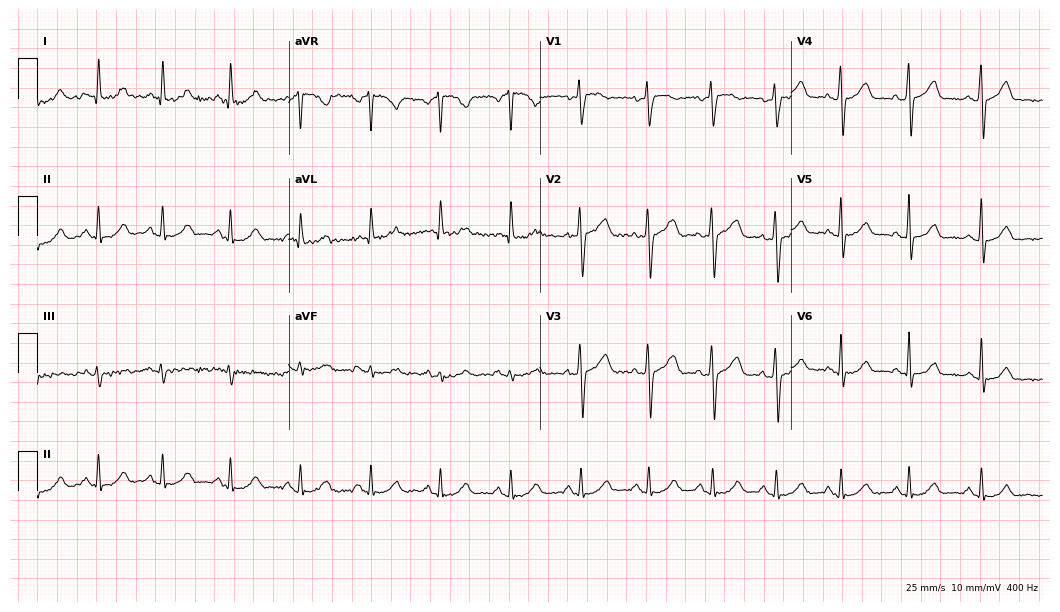
ECG — a 45-year-old woman. Labelled as a normal ECG.